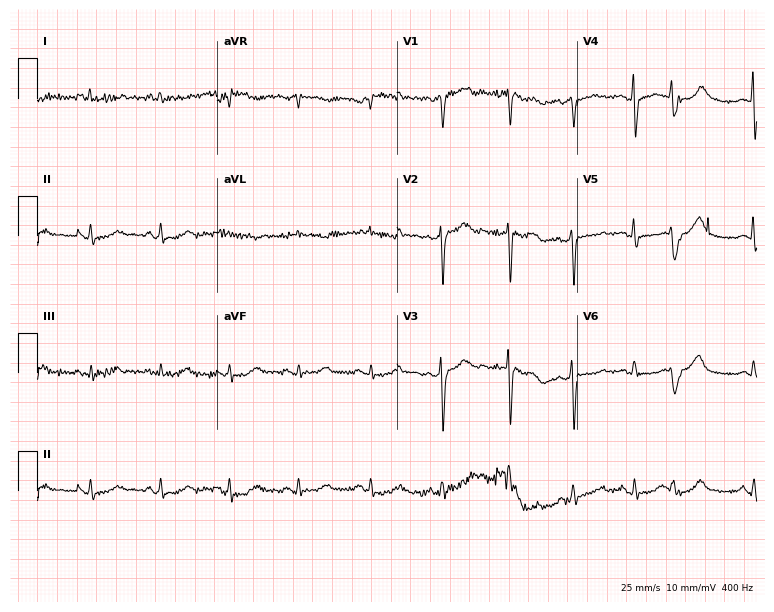
ECG — a female, 59 years old. Screened for six findings — first-degree AV block, right bundle branch block, left bundle branch block, sinus bradycardia, atrial fibrillation, sinus tachycardia — none is recorded. Findings outside these six are not listed.